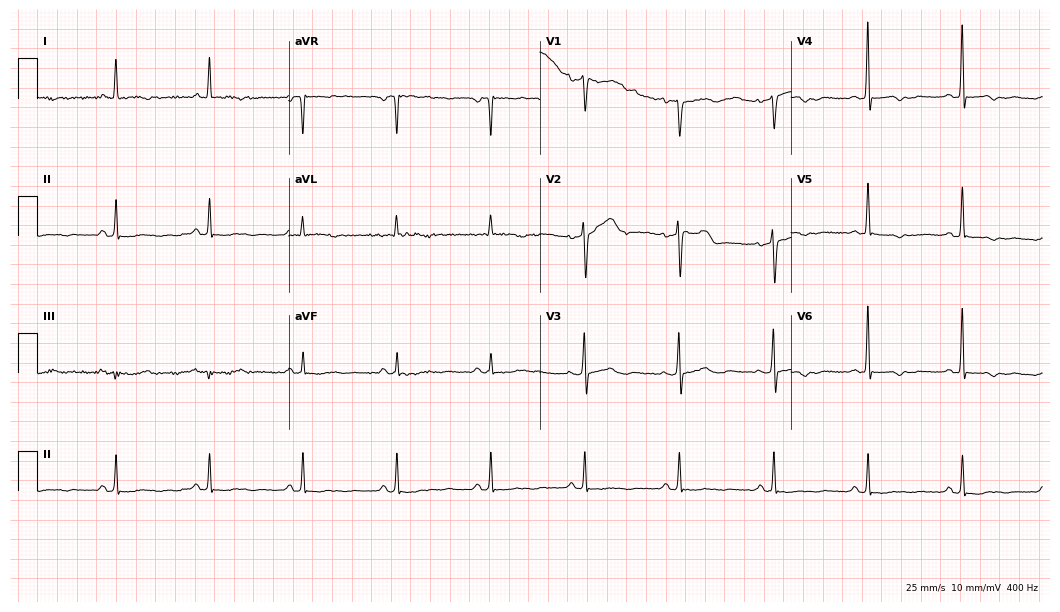
12-lead ECG from a 54-year-old woman (10.2-second recording at 400 Hz). No first-degree AV block, right bundle branch block, left bundle branch block, sinus bradycardia, atrial fibrillation or sinus tachycardia recorded for this tracing. Other findings, if any, are not listed.